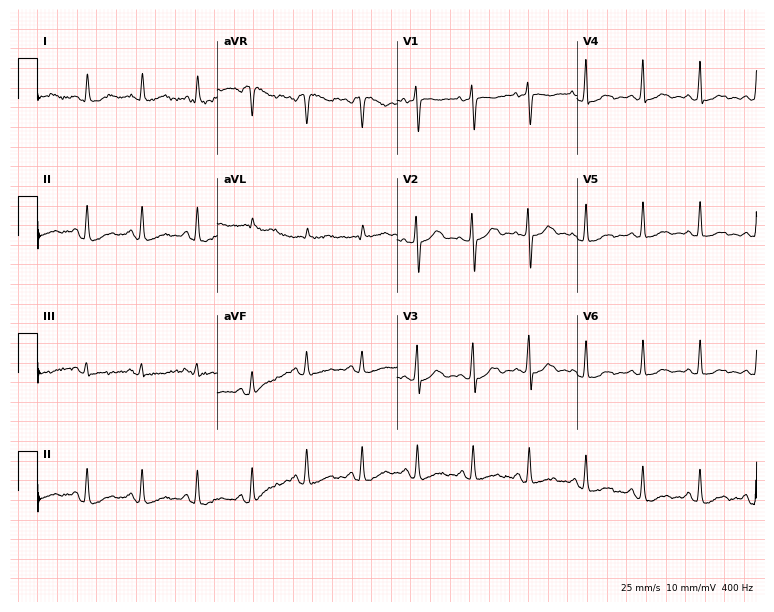
Standard 12-lead ECG recorded from a woman, 55 years old (7.3-second recording at 400 Hz). The tracing shows sinus tachycardia (a sinus rate of 100 beats per minute or more).